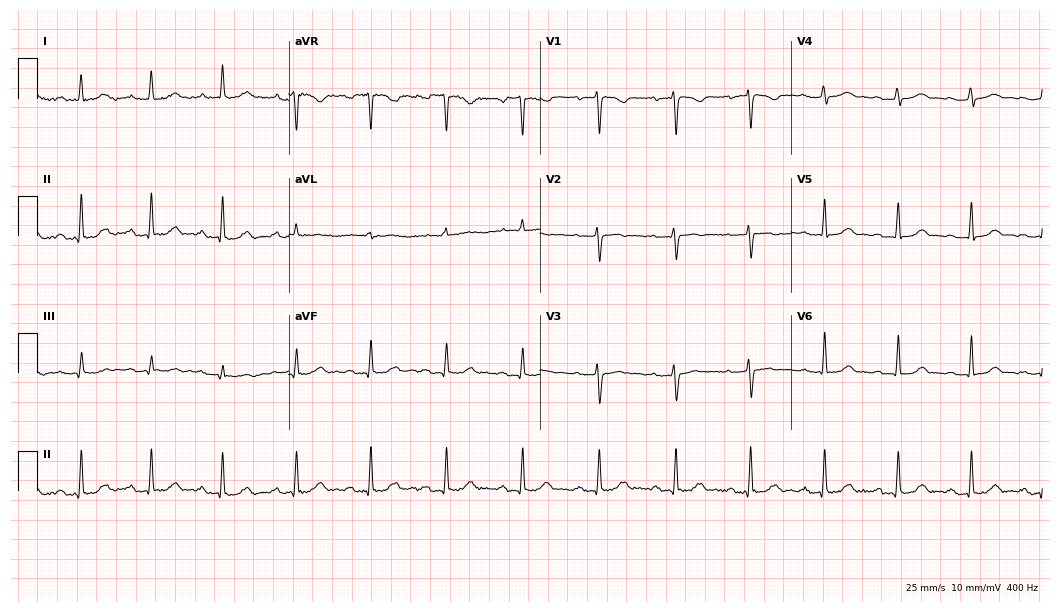
12-lead ECG from a female patient, 48 years old. Labelled as a normal ECG.